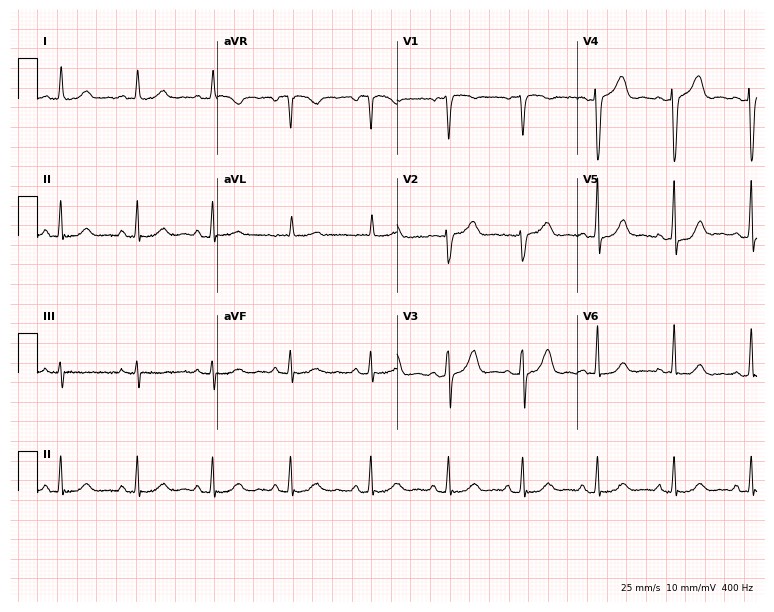
12-lead ECG from a woman, 44 years old. Screened for six findings — first-degree AV block, right bundle branch block, left bundle branch block, sinus bradycardia, atrial fibrillation, sinus tachycardia — none is recorded.